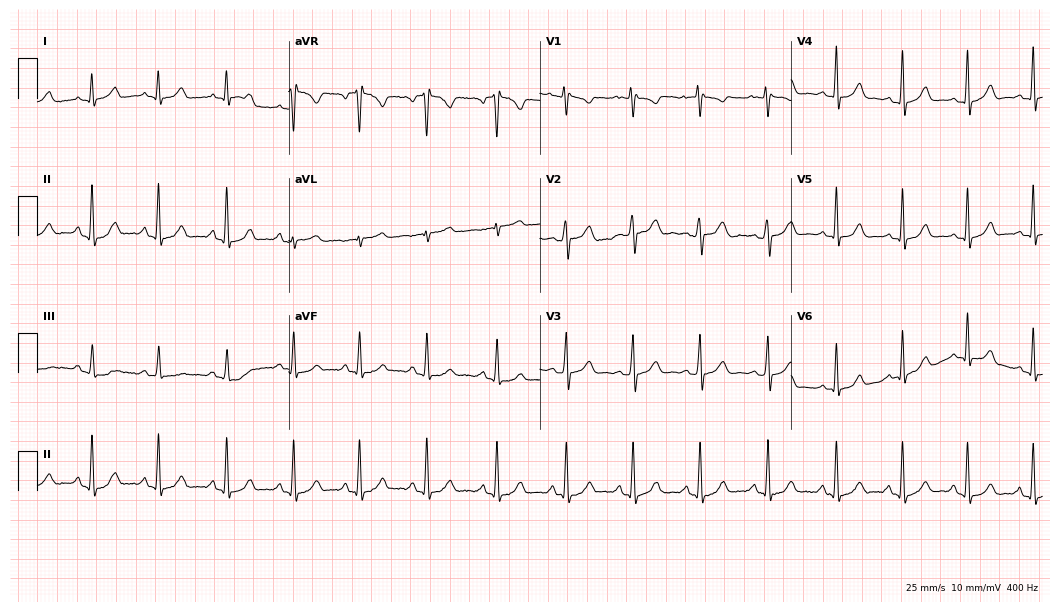
Electrocardiogram (10.2-second recording at 400 Hz), a woman, 22 years old. Overall reading on record: normal ECG.